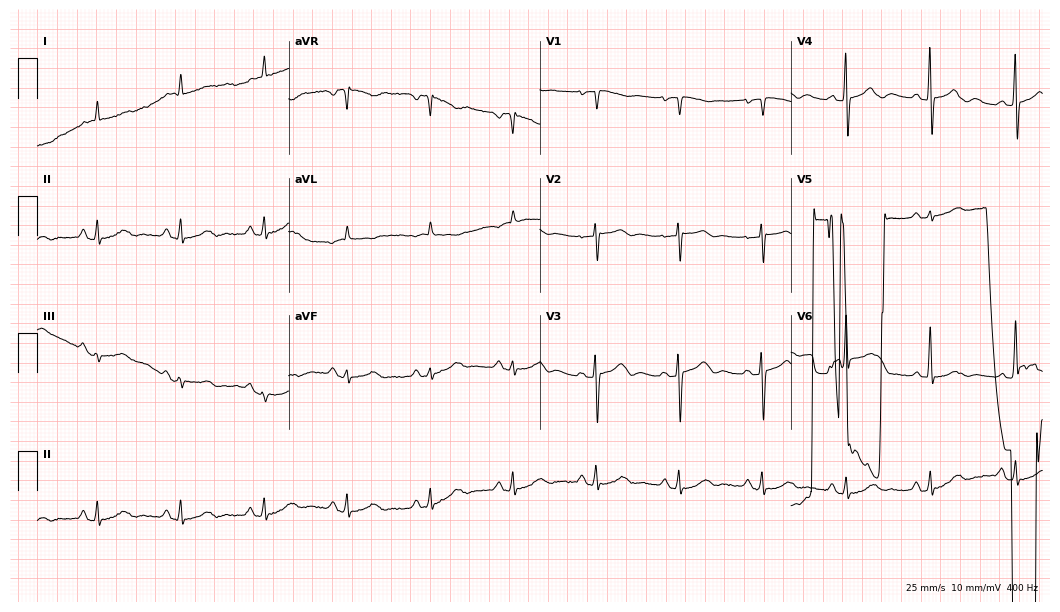
Resting 12-lead electrocardiogram. Patient: a female, 81 years old. None of these six findings is recorded: first-degree AV block, right bundle branch block, left bundle branch block, sinus bradycardia, atrial fibrillation, sinus tachycardia. Findings outside these six are not listed.